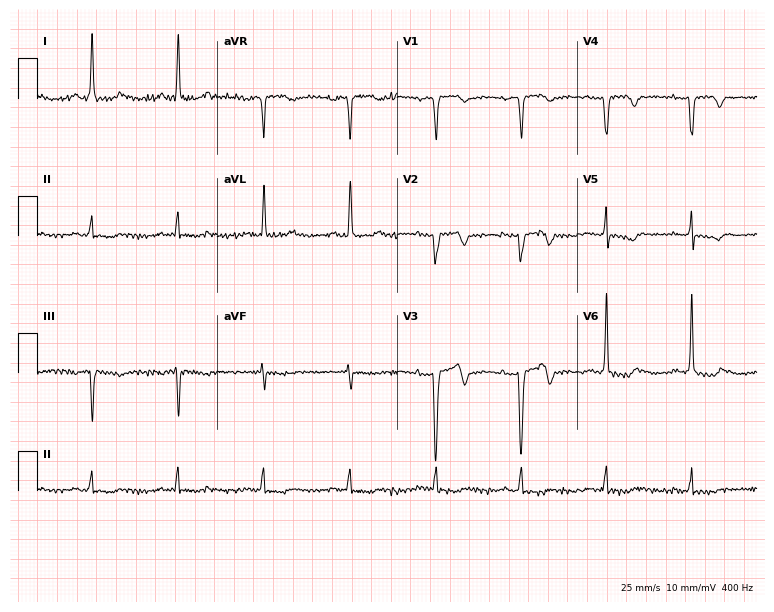
12-lead ECG from a female, 76 years old. Screened for six findings — first-degree AV block, right bundle branch block, left bundle branch block, sinus bradycardia, atrial fibrillation, sinus tachycardia — none is recorded.